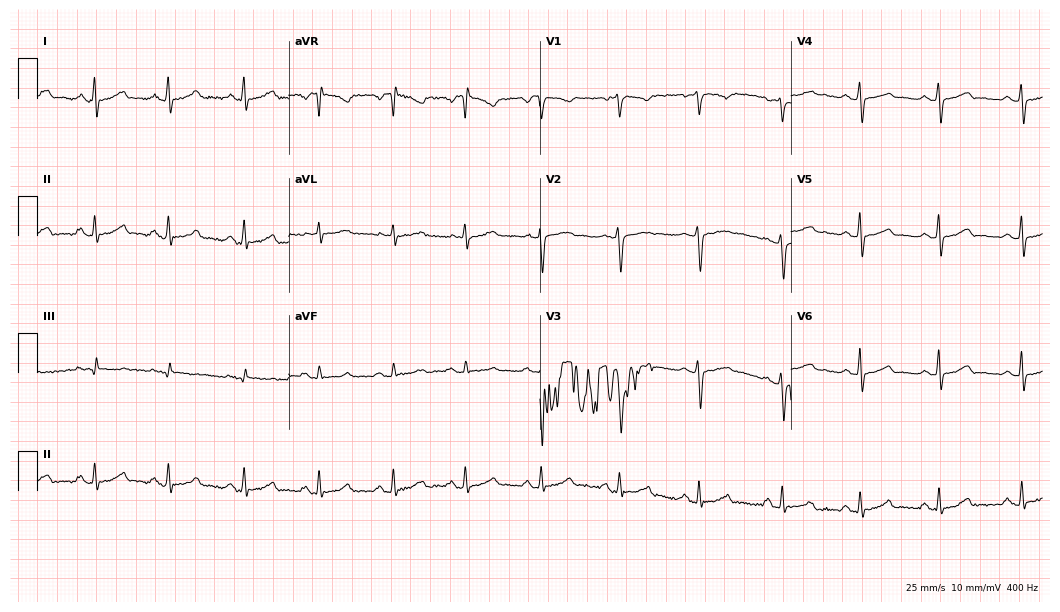
12-lead ECG (10.2-second recording at 400 Hz) from a female patient, 40 years old. Labelled as a normal ECG.